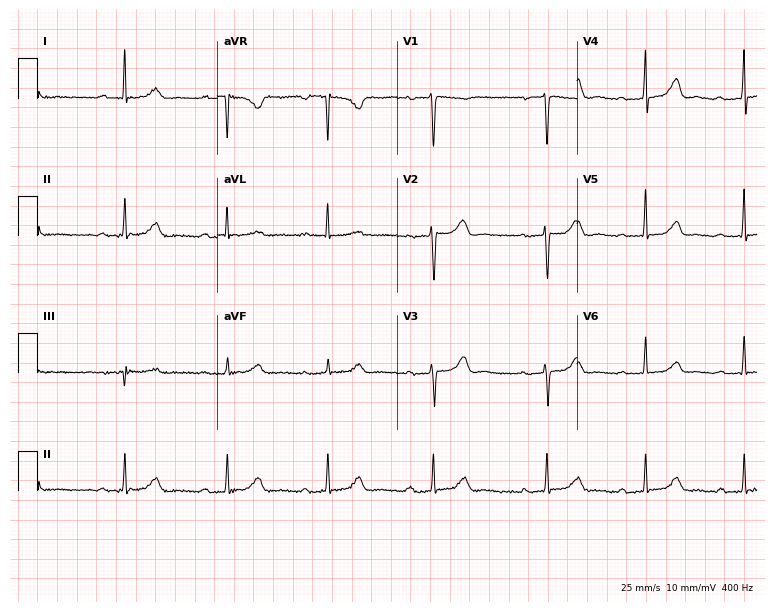
Electrocardiogram, a woman, 80 years old. Interpretation includes first-degree AV block.